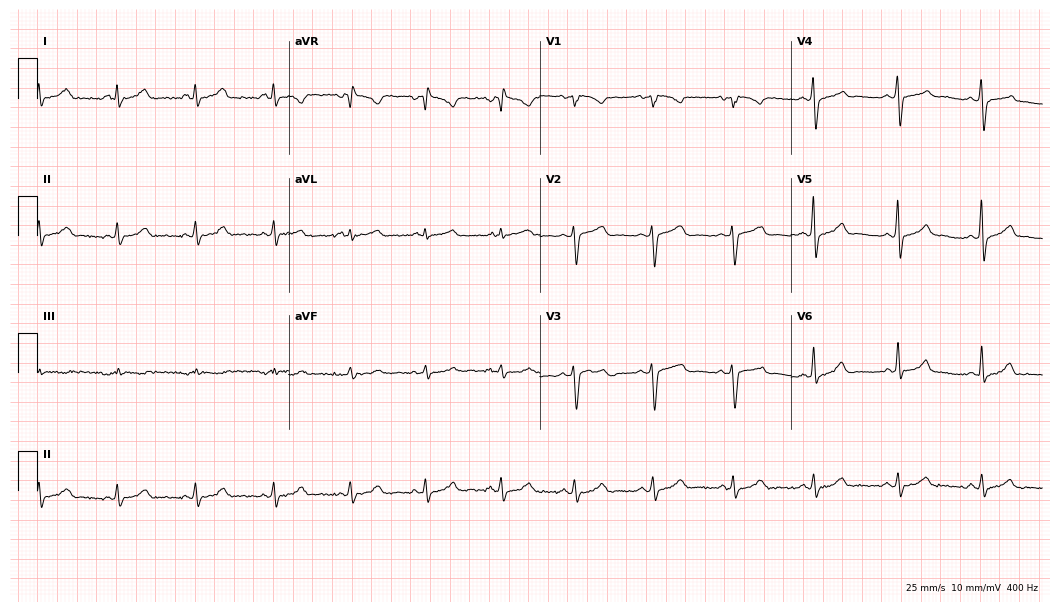
Standard 12-lead ECG recorded from a female patient, 36 years old (10.2-second recording at 400 Hz). Read as a normal ECG.